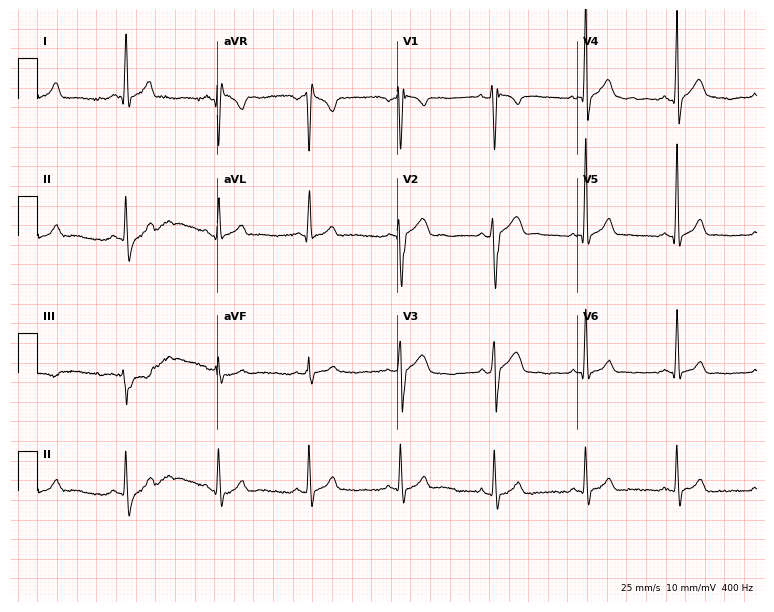
Standard 12-lead ECG recorded from a man, 28 years old. None of these six findings is recorded: first-degree AV block, right bundle branch block, left bundle branch block, sinus bradycardia, atrial fibrillation, sinus tachycardia. Only these six findings were labelled.